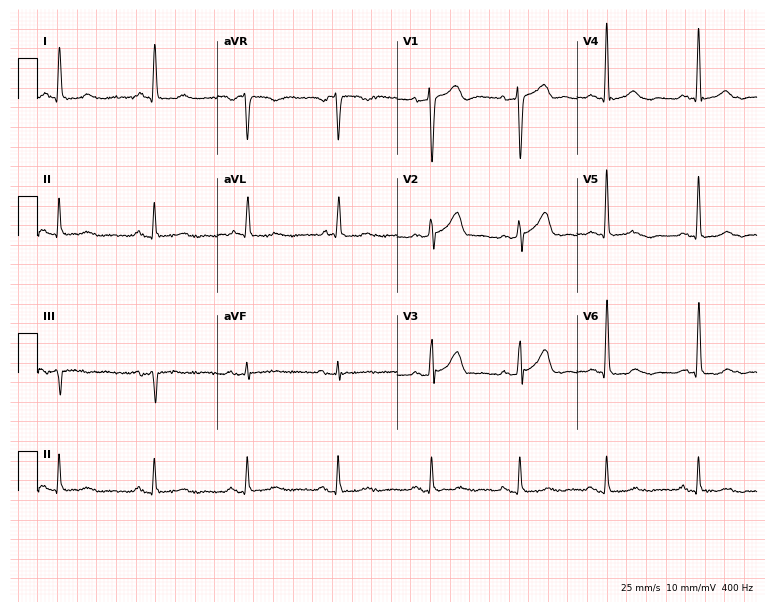
Electrocardiogram, a man, 77 years old. Overall reading on record: normal ECG.